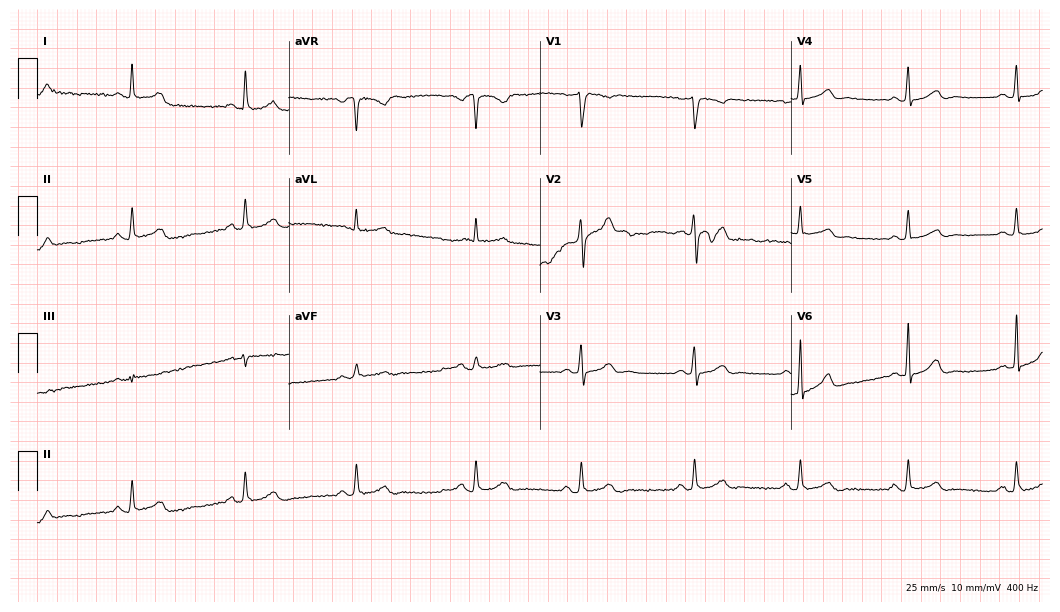
12-lead ECG from a 42-year-old female patient. Labelled as a normal ECG.